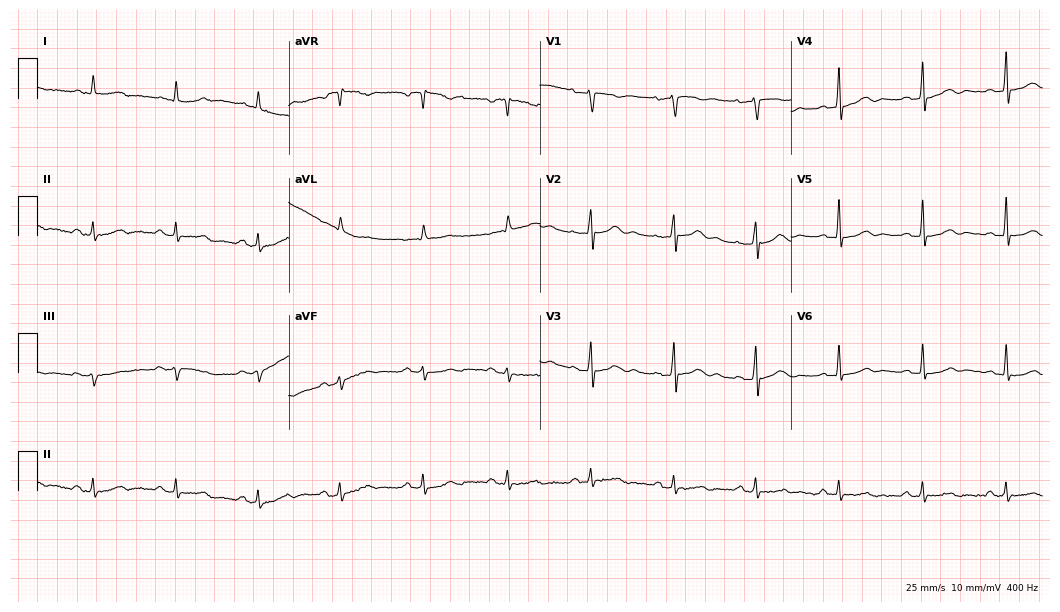
Resting 12-lead electrocardiogram (10.2-second recording at 400 Hz). Patient: a man, 73 years old. None of these six findings is recorded: first-degree AV block, right bundle branch block, left bundle branch block, sinus bradycardia, atrial fibrillation, sinus tachycardia. Only these six findings were labelled.